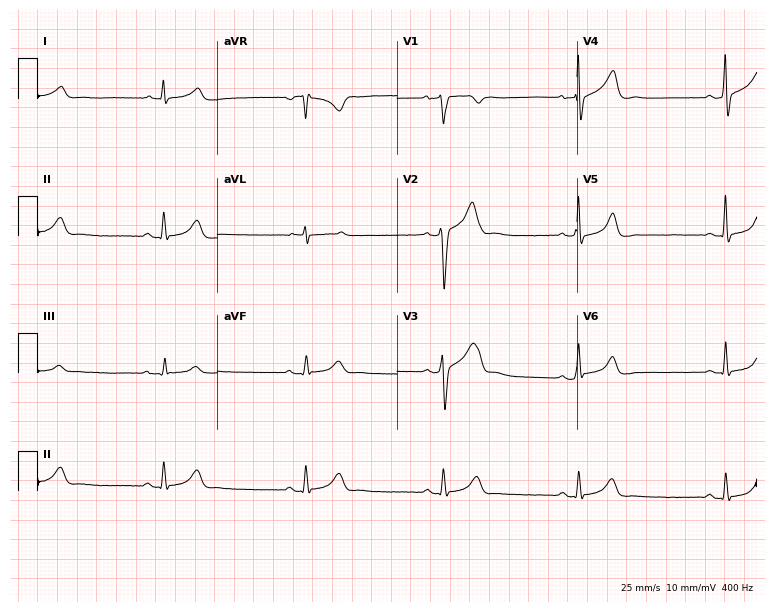
Standard 12-lead ECG recorded from a male, 43 years old. The tracing shows sinus bradycardia (a sinus rate of 50 beats per minute or less).